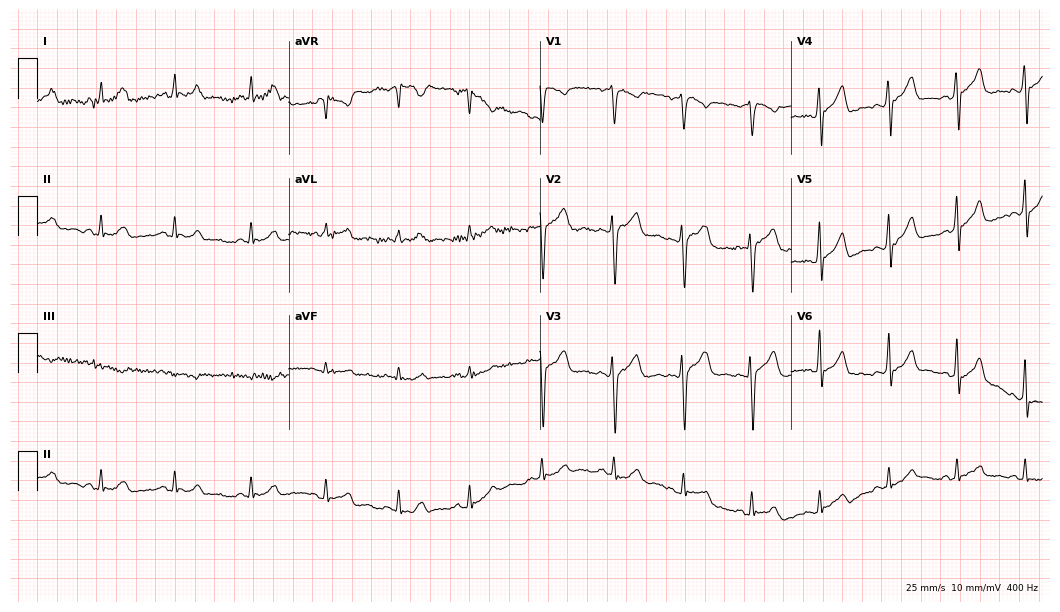
Resting 12-lead electrocardiogram. Patient: a 39-year-old male. Read as a normal ECG.